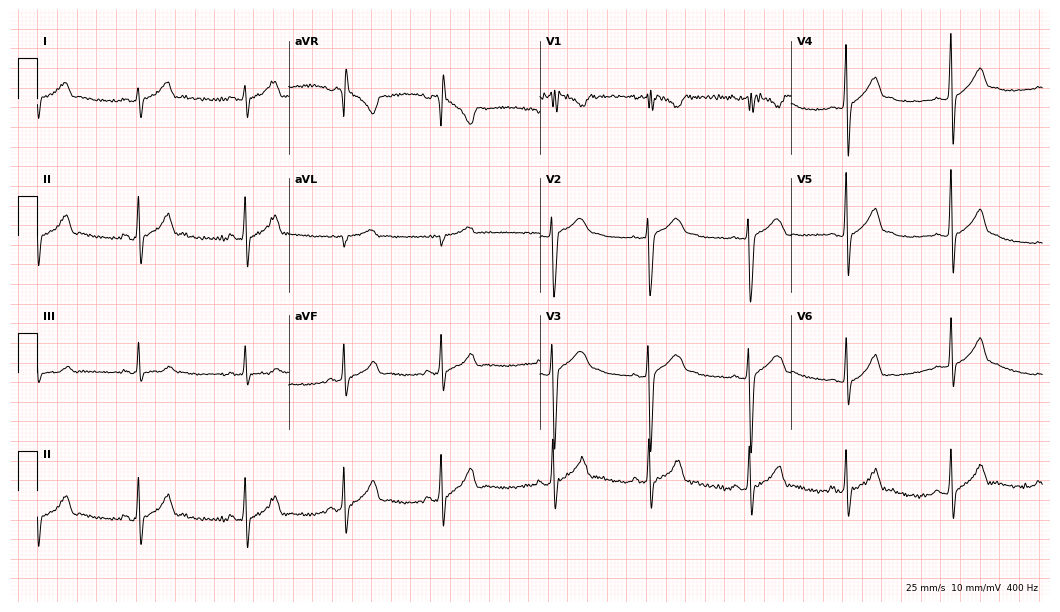
12-lead ECG (10.2-second recording at 400 Hz) from a man, 17 years old. Labelled as a normal ECG.